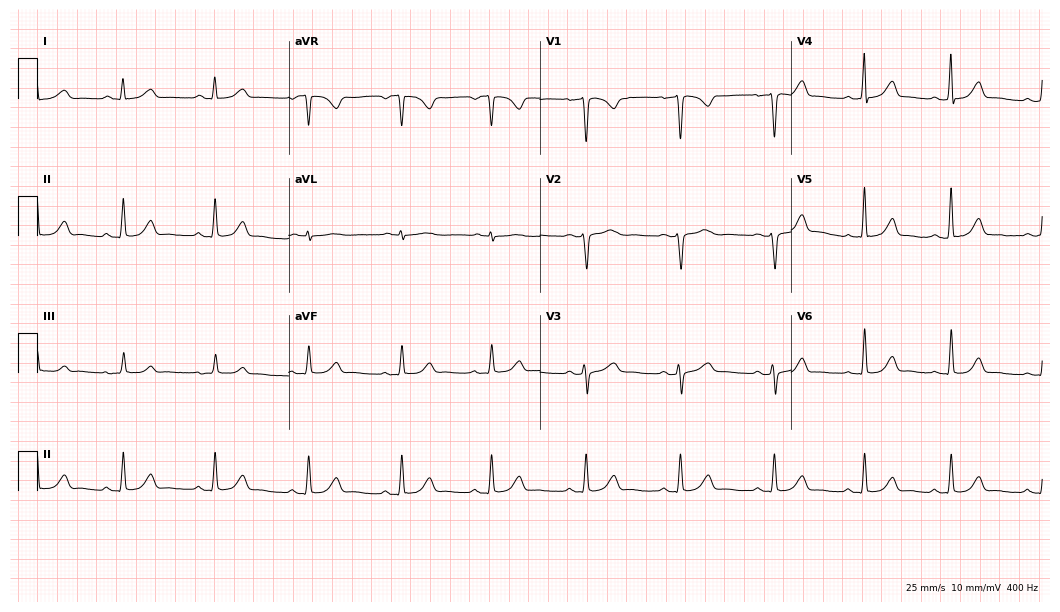
Standard 12-lead ECG recorded from a 37-year-old female (10.2-second recording at 400 Hz). Read as a normal ECG.